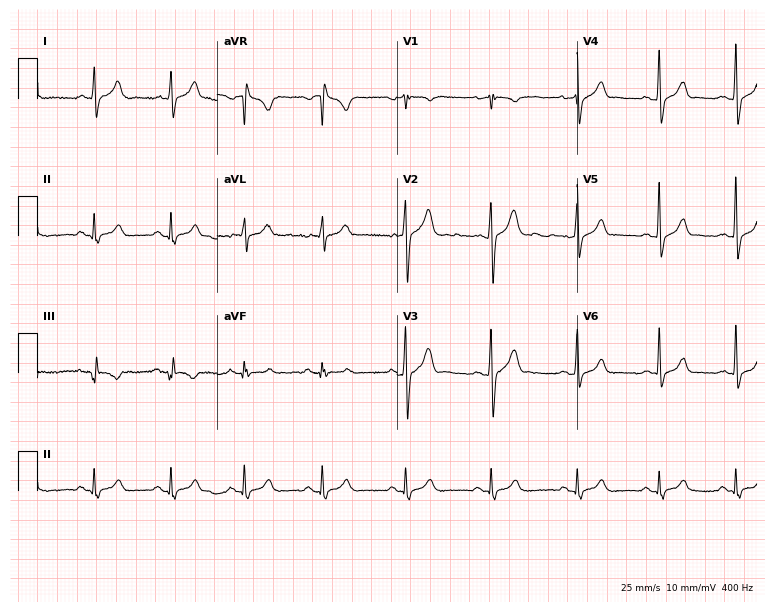
12-lead ECG from a male, 24 years old. Recorded interpretation: within normal limits.